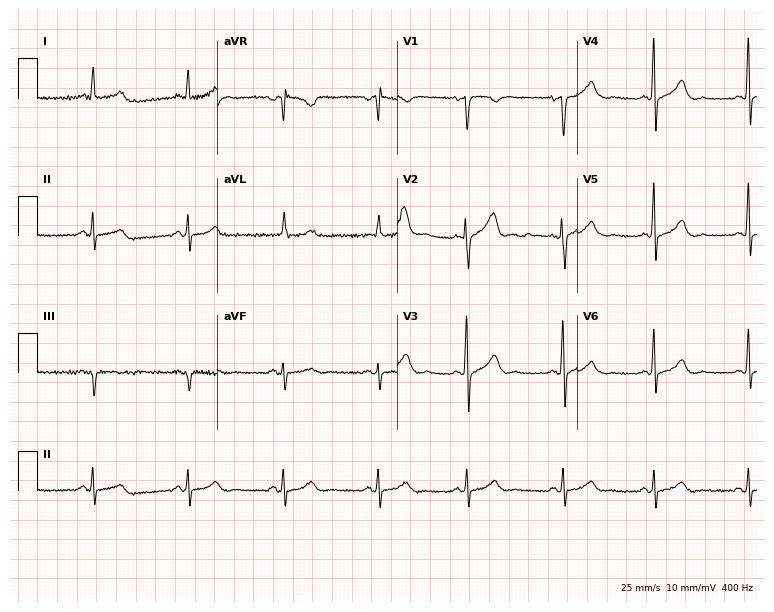
Standard 12-lead ECG recorded from a woman, 36 years old (7.3-second recording at 400 Hz). Read as a normal ECG.